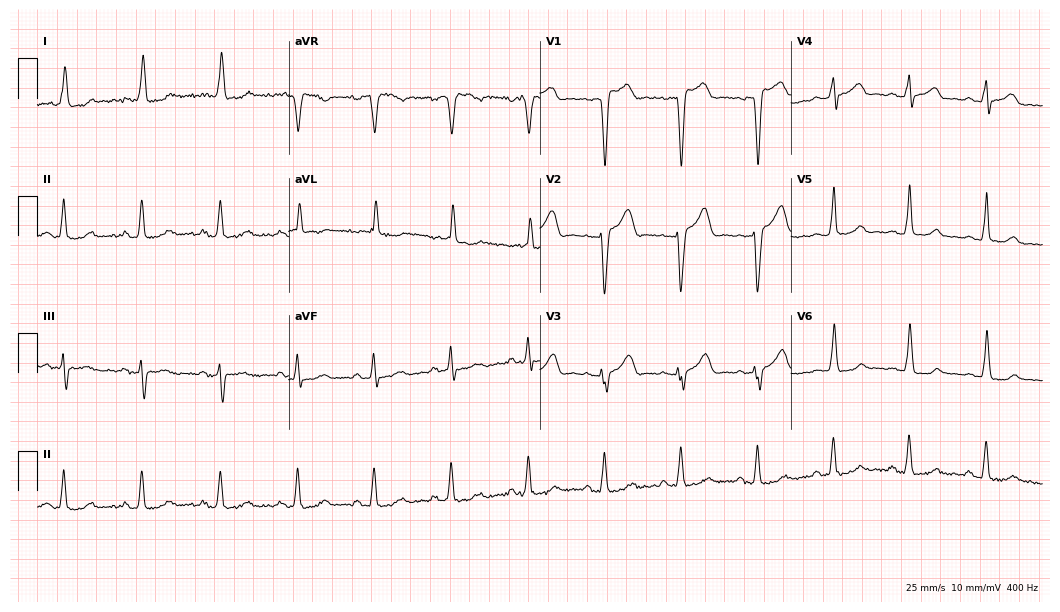
Electrocardiogram, a female patient, 76 years old. Of the six screened findings (first-degree AV block, right bundle branch block, left bundle branch block, sinus bradycardia, atrial fibrillation, sinus tachycardia), none is recorded. Other findings, if any, are not listed.